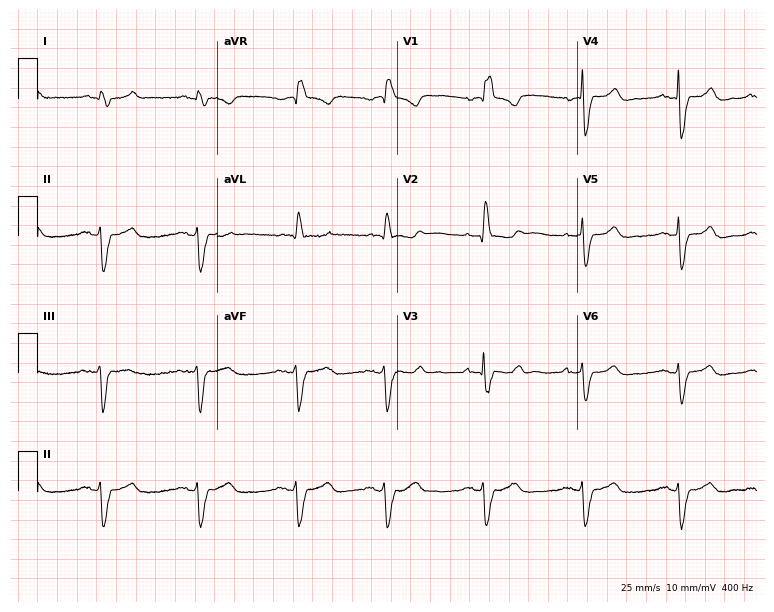
Electrocardiogram, a 74-year-old male patient. Interpretation includes right bundle branch block.